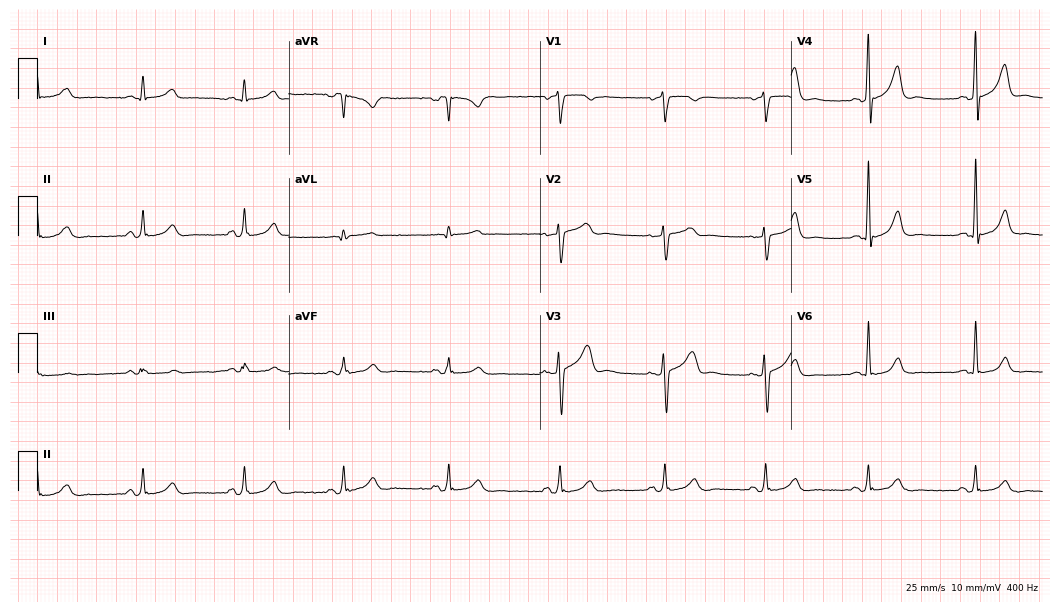
Standard 12-lead ECG recorded from a male, 49 years old. Read as a normal ECG.